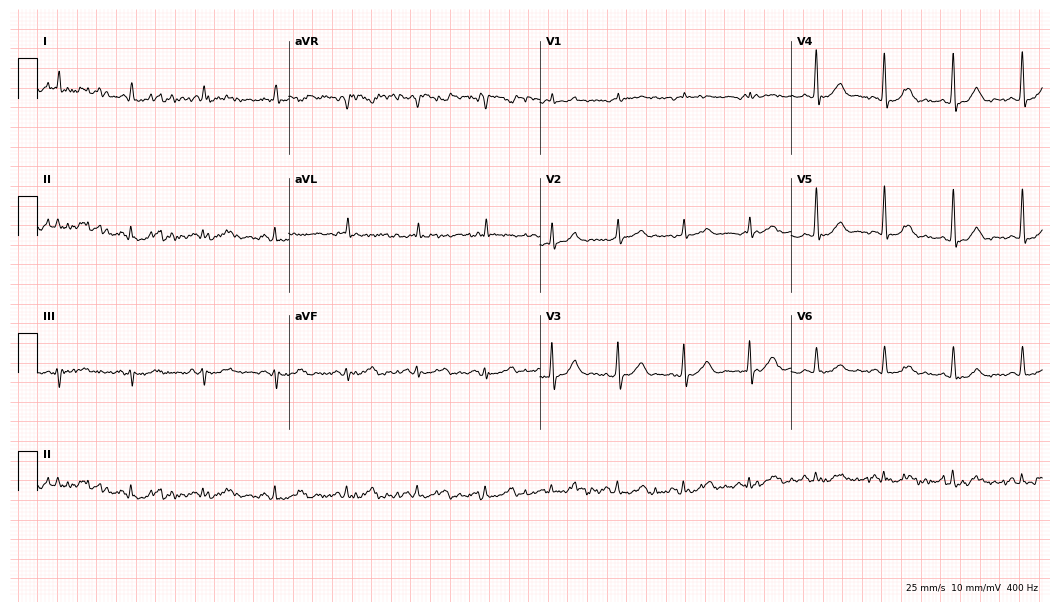
Electrocardiogram (10.2-second recording at 400 Hz), a male patient, 87 years old. Of the six screened findings (first-degree AV block, right bundle branch block, left bundle branch block, sinus bradycardia, atrial fibrillation, sinus tachycardia), none is recorded. Findings outside these six are not listed.